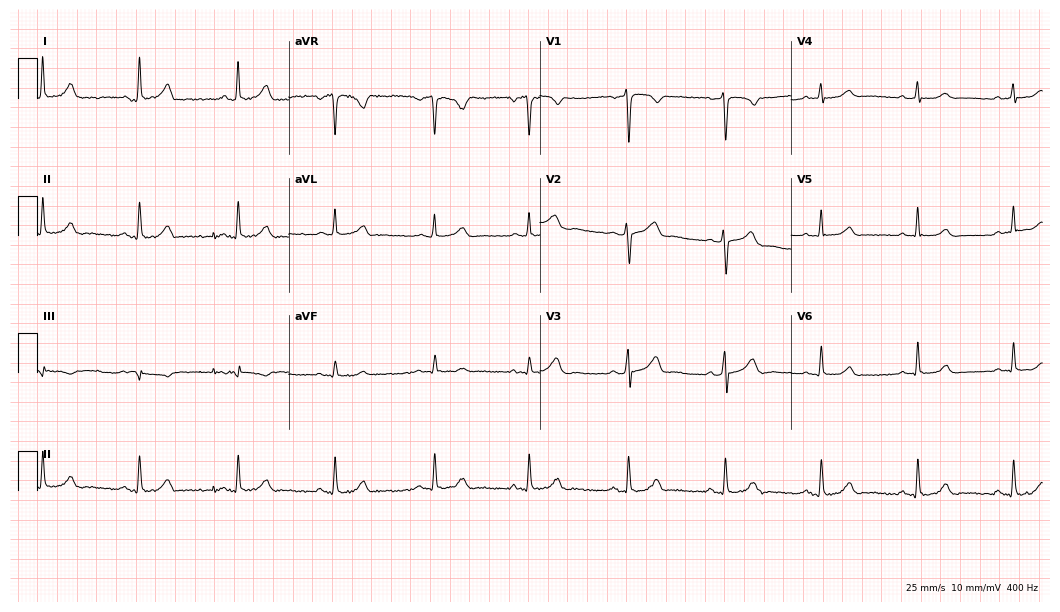
ECG — a 39-year-old female. Labelled as a normal ECG.